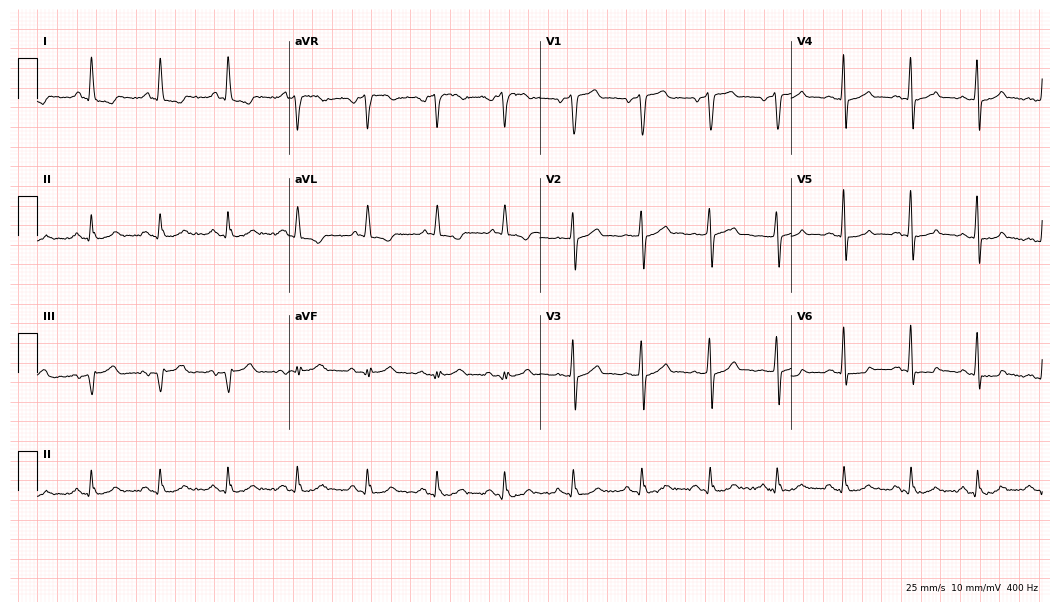
ECG (10.2-second recording at 400 Hz) — a male patient, 42 years old. Screened for six findings — first-degree AV block, right bundle branch block, left bundle branch block, sinus bradycardia, atrial fibrillation, sinus tachycardia — none is recorded. Only these six findings were labelled.